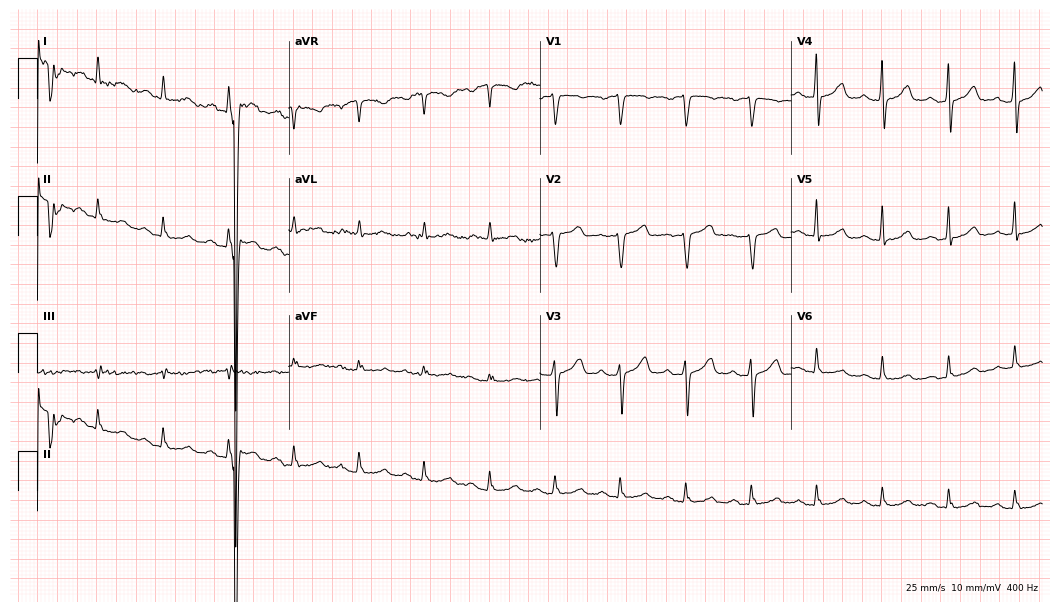
12-lead ECG from a 61-year-old male patient. Recorded interpretation: within normal limits.